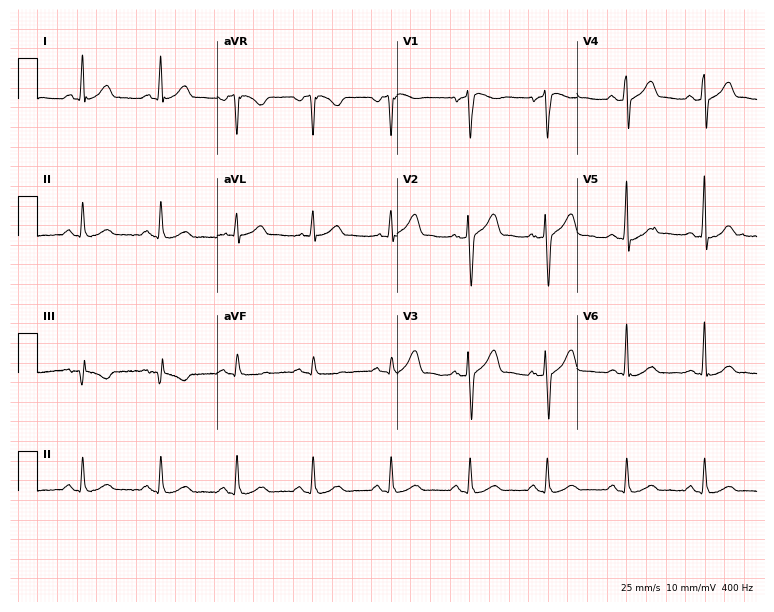
Electrocardiogram (7.3-second recording at 400 Hz), a male patient, 51 years old. Overall reading on record: normal ECG.